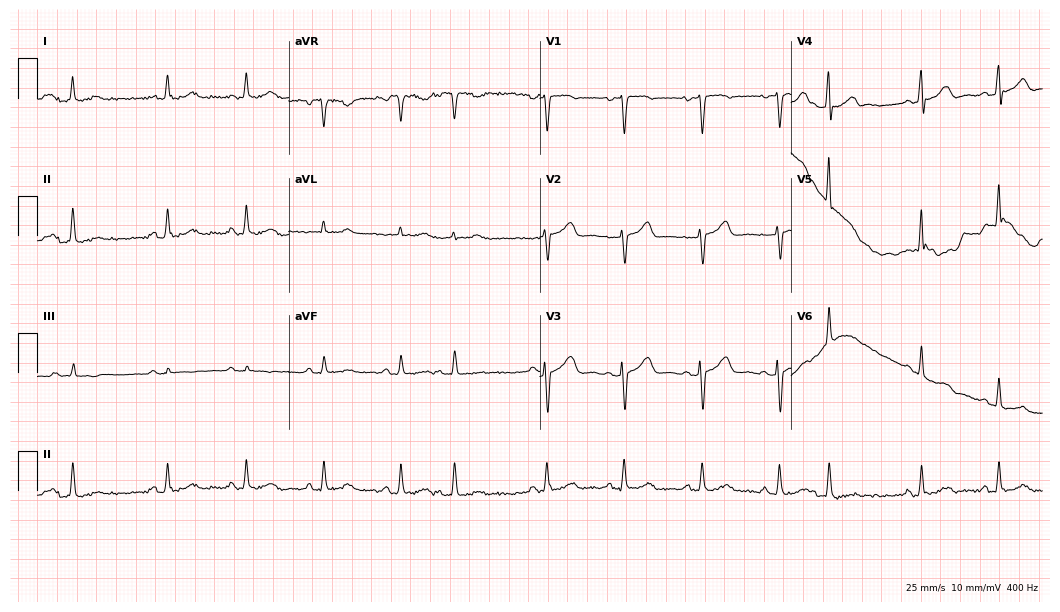
Resting 12-lead electrocardiogram (10.2-second recording at 400 Hz). Patient: a 54-year-old female. None of these six findings is recorded: first-degree AV block, right bundle branch block, left bundle branch block, sinus bradycardia, atrial fibrillation, sinus tachycardia. Findings outside these six are not listed.